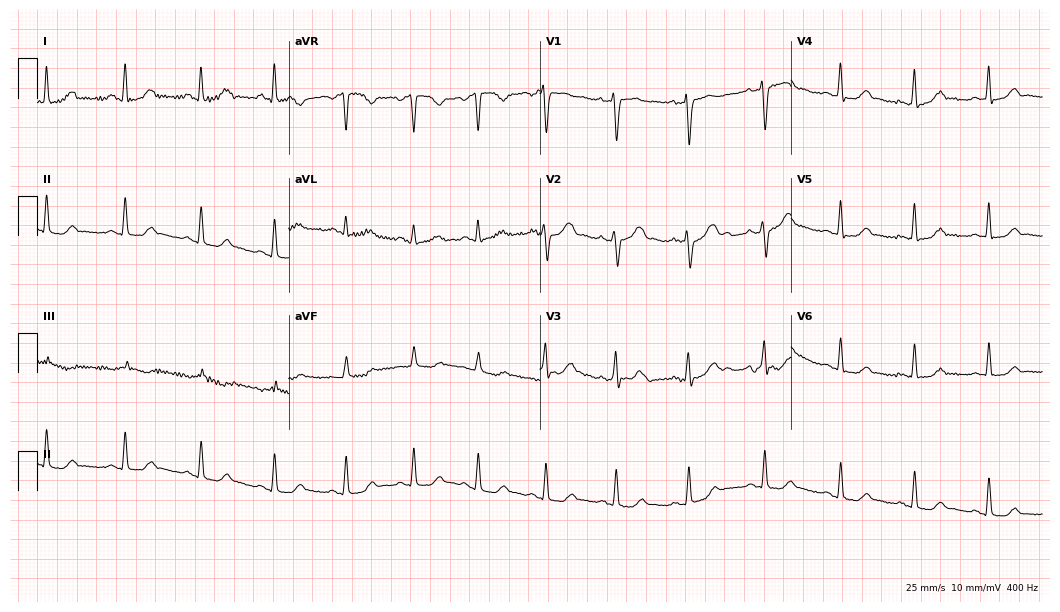
ECG (10.2-second recording at 400 Hz) — a 39-year-old woman. Labelled as a normal ECG.